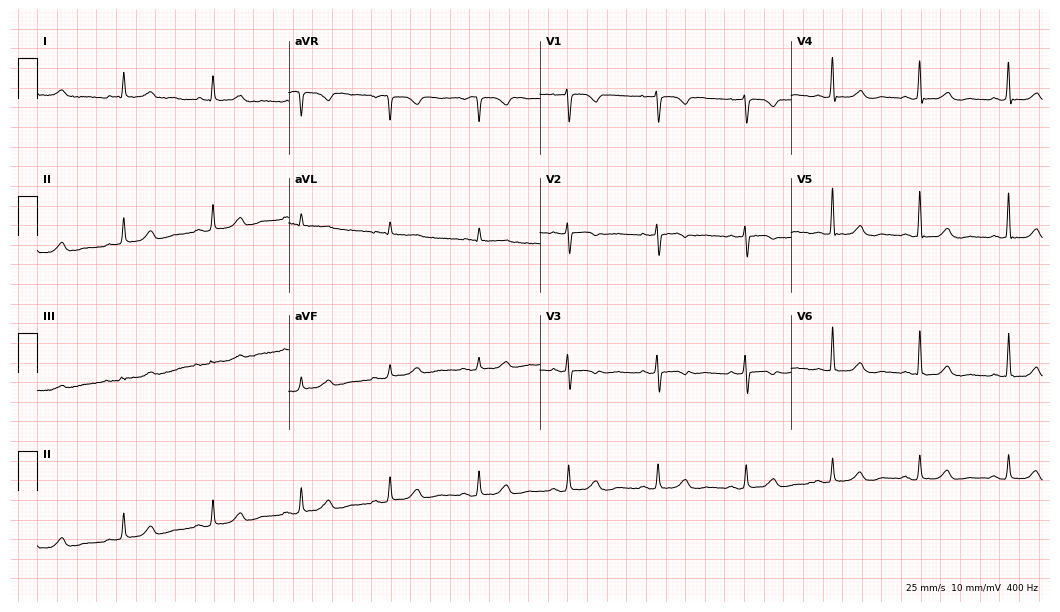
Electrocardiogram (10.2-second recording at 400 Hz), a female patient, 57 years old. Of the six screened findings (first-degree AV block, right bundle branch block, left bundle branch block, sinus bradycardia, atrial fibrillation, sinus tachycardia), none is recorded. Findings outside these six are not listed.